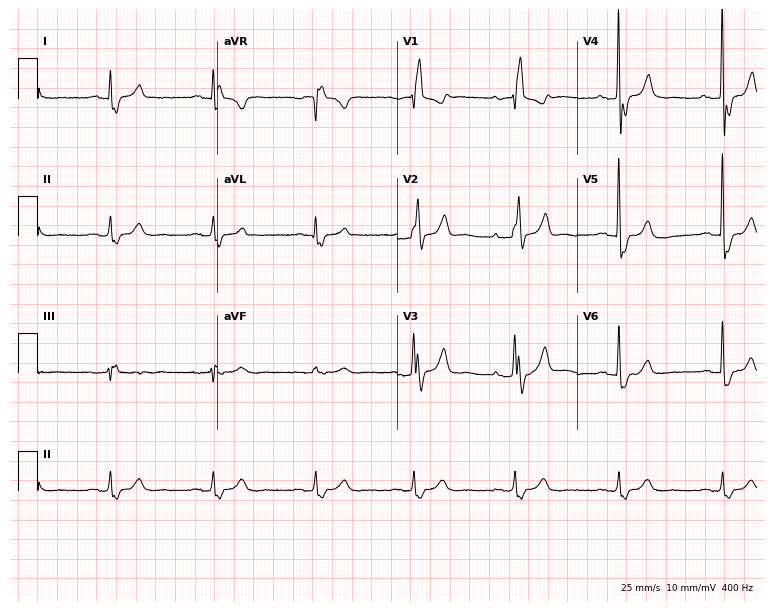
12-lead ECG from a 69-year-old male. Findings include first-degree AV block, right bundle branch block.